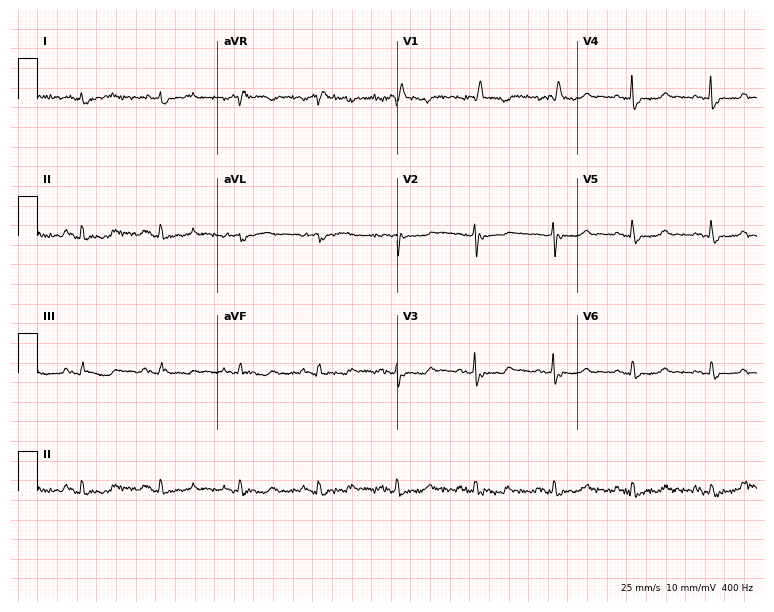
Resting 12-lead electrocardiogram (7.3-second recording at 400 Hz). Patient: a 76-year-old male. None of these six findings is recorded: first-degree AV block, right bundle branch block, left bundle branch block, sinus bradycardia, atrial fibrillation, sinus tachycardia. Findings outside these six are not listed.